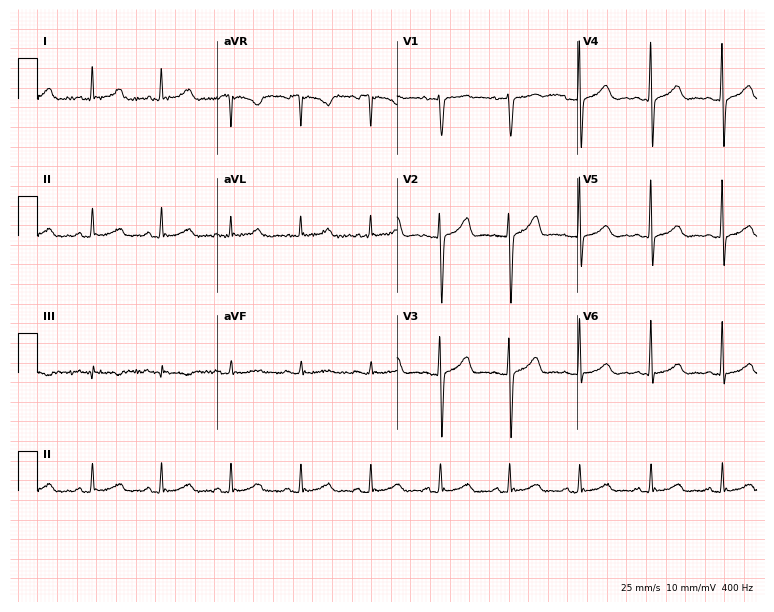
ECG — a 48-year-old female patient. Screened for six findings — first-degree AV block, right bundle branch block, left bundle branch block, sinus bradycardia, atrial fibrillation, sinus tachycardia — none is recorded. Only these six findings were labelled.